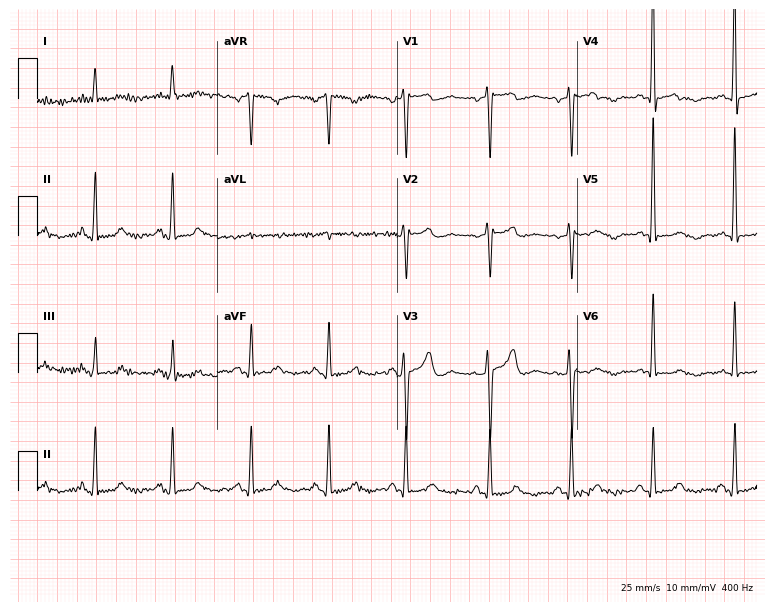
ECG — a 64-year-old male patient. Screened for six findings — first-degree AV block, right bundle branch block, left bundle branch block, sinus bradycardia, atrial fibrillation, sinus tachycardia — none is recorded.